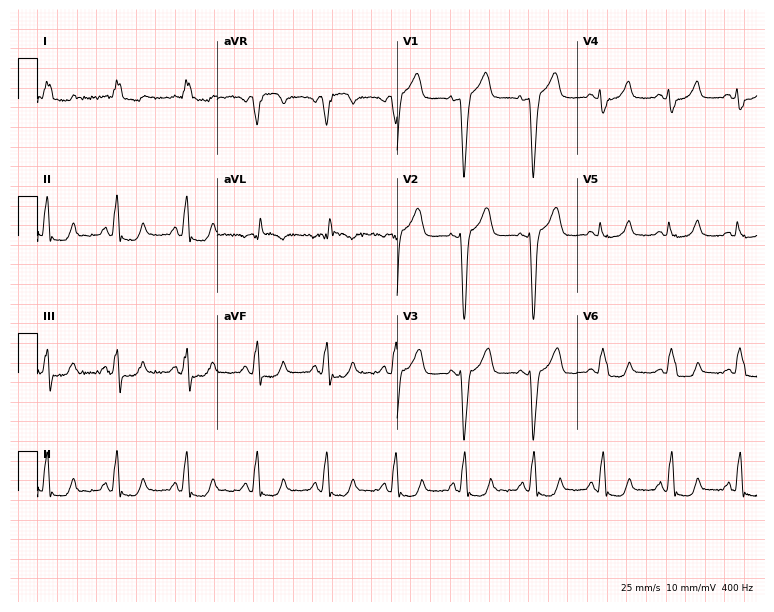
Standard 12-lead ECG recorded from a female patient, 84 years old. None of these six findings is recorded: first-degree AV block, right bundle branch block (RBBB), left bundle branch block (LBBB), sinus bradycardia, atrial fibrillation (AF), sinus tachycardia.